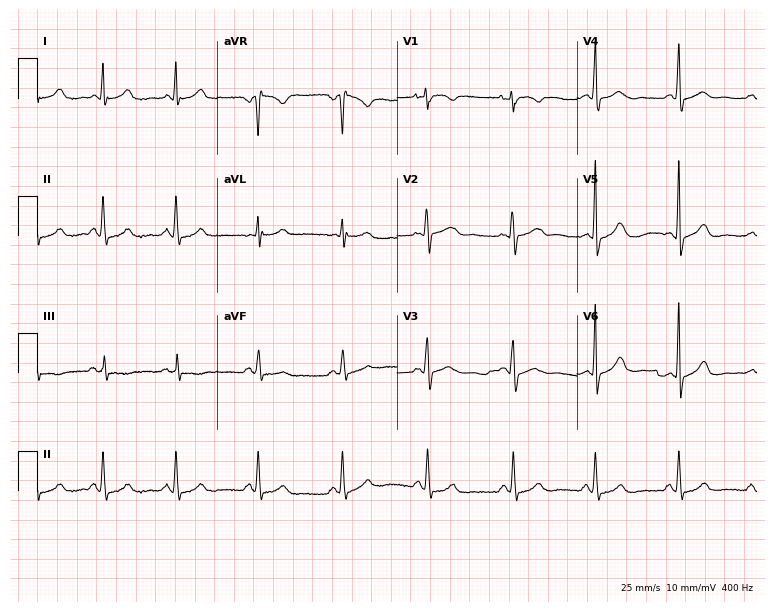
ECG — a 19-year-old woman. Screened for six findings — first-degree AV block, right bundle branch block, left bundle branch block, sinus bradycardia, atrial fibrillation, sinus tachycardia — none is recorded.